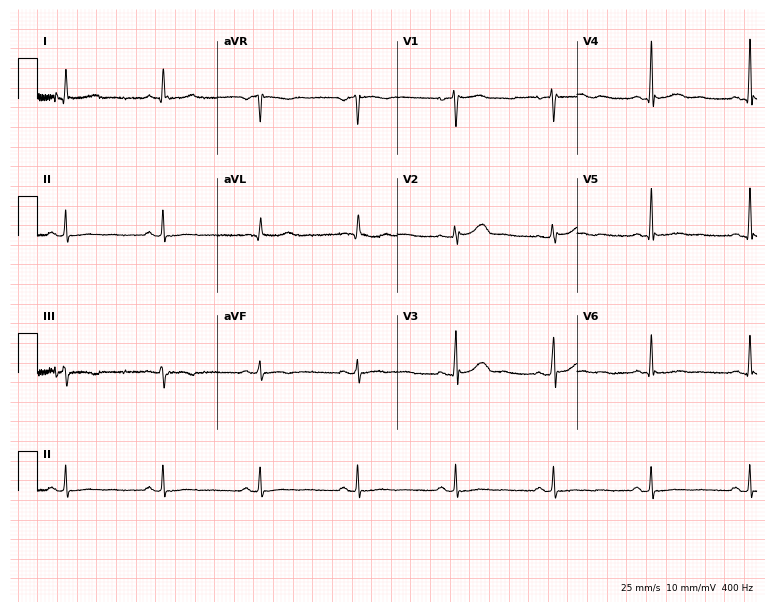
ECG — a 63-year-old female. Screened for six findings — first-degree AV block, right bundle branch block, left bundle branch block, sinus bradycardia, atrial fibrillation, sinus tachycardia — none is recorded.